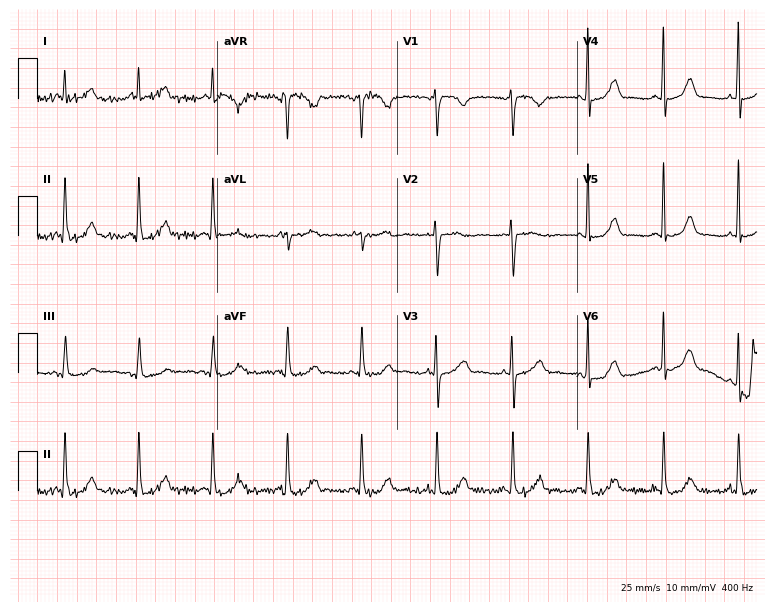
Standard 12-lead ECG recorded from a woman, 46 years old. None of these six findings is recorded: first-degree AV block, right bundle branch block, left bundle branch block, sinus bradycardia, atrial fibrillation, sinus tachycardia. Only these six findings were labelled.